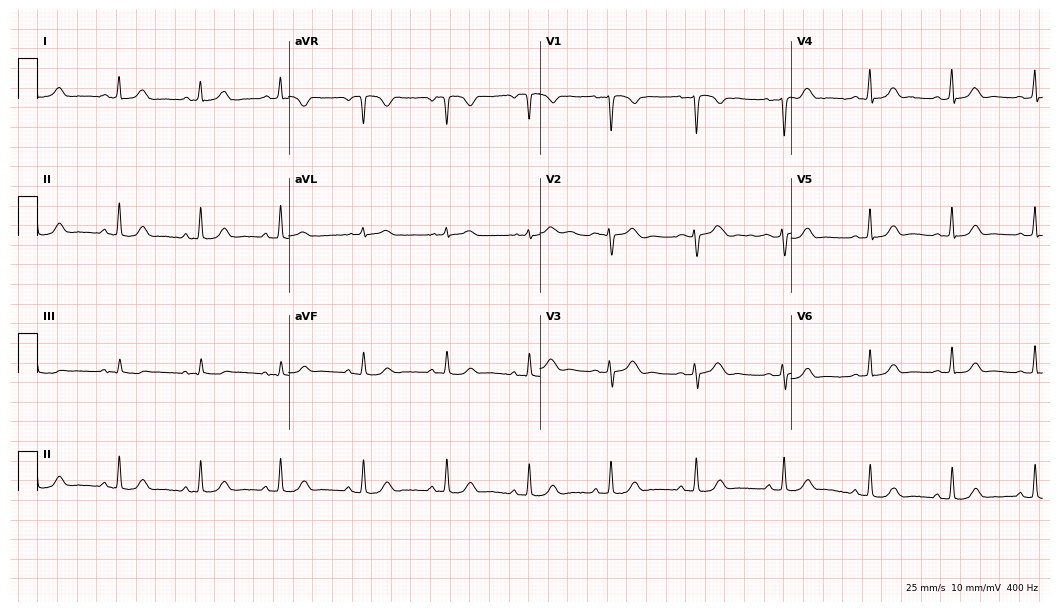
Standard 12-lead ECG recorded from a female, 42 years old (10.2-second recording at 400 Hz). Read as a normal ECG.